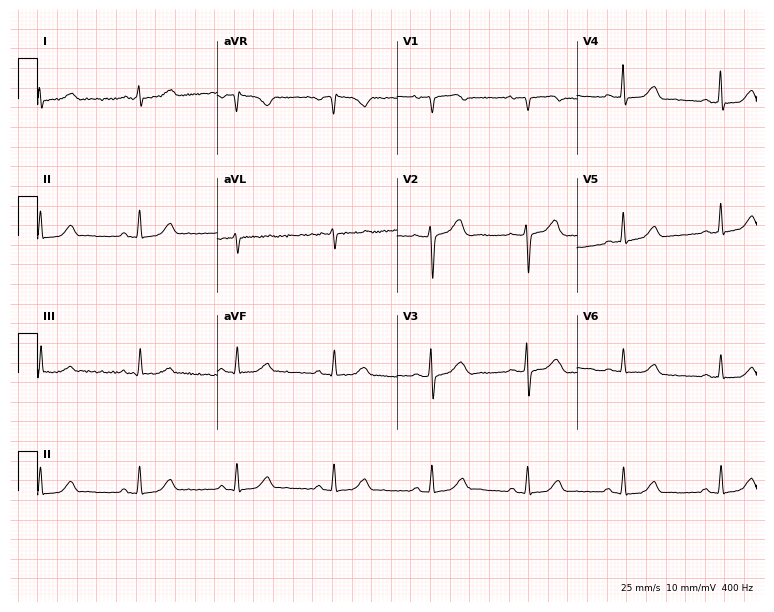
12-lead ECG from a female patient, 56 years old (7.3-second recording at 400 Hz). No first-degree AV block, right bundle branch block, left bundle branch block, sinus bradycardia, atrial fibrillation or sinus tachycardia recorded for this tracing.